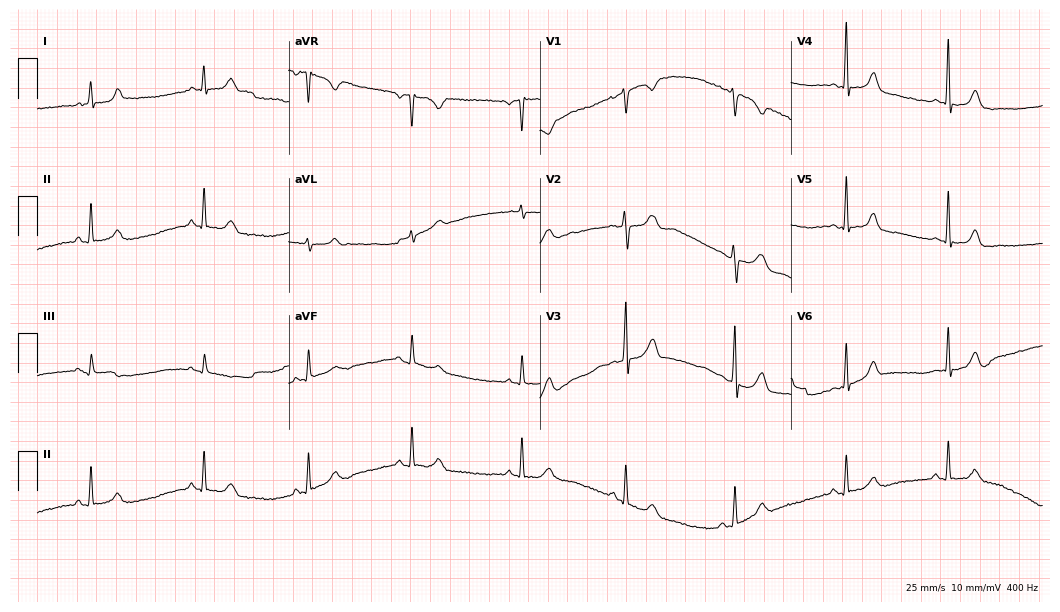
Electrocardiogram (10.2-second recording at 400 Hz), a 25-year-old female patient. Of the six screened findings (first-degree AV block, right bundle branch block, left bundle branch block, sinus bradycardia, atrial fibrillation, sinus tachycardia), none is recorded.